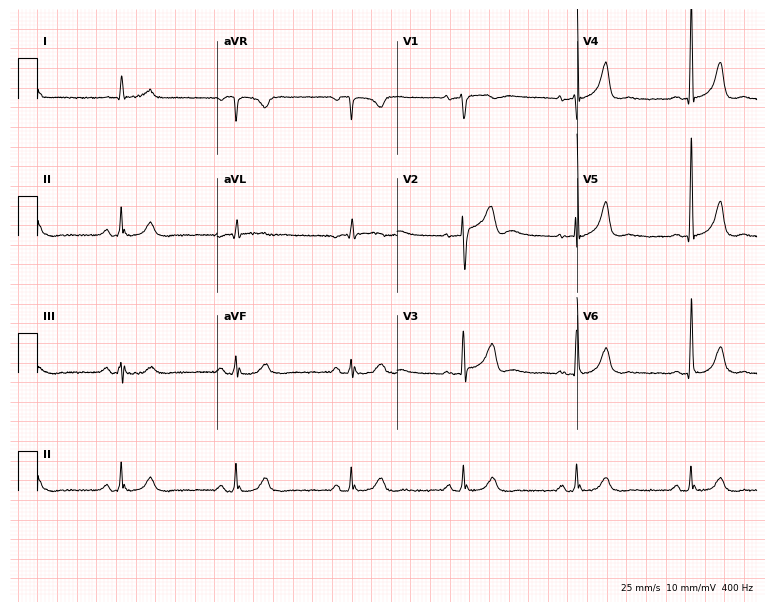
12-lead ECG (7.3-second recording at 400 Hz) from a 79-year-old male. Screened for six findings — first-degree AV block, right bundle branch block (RBBB), left bundle branch block (LBBB), sinus bradycardia, atrial fibrillation (AF), sinus tachycardia — none is recorded.